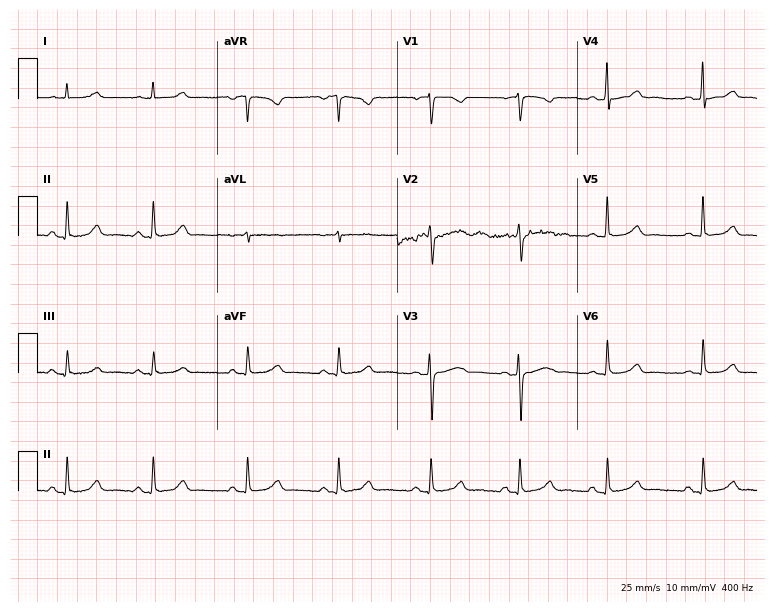
12-lead ECG (7.3-second recording at 400 Hz) from a female patient, 43 years old. Labelled as a normal ECG.